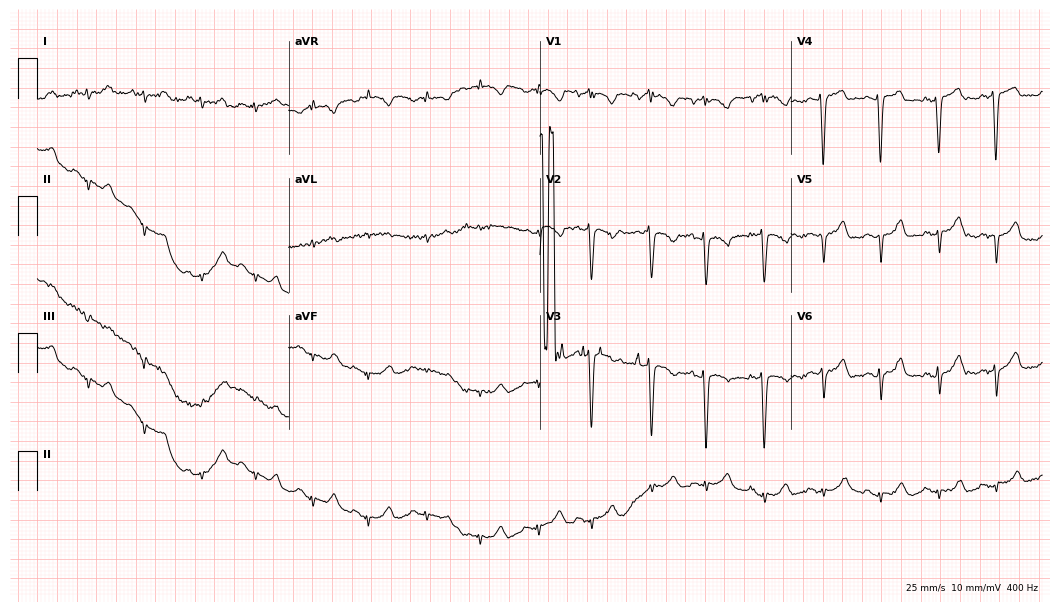
12-lead ECG from a female patient, 85 years old. Screened for six findings — first-degree AV block, right bundle branch block, left bundle branch block, sinus bradycardia, atrial fibrillation, sinus tachycardia — none is recorded. Other findings, if any, are not listed.